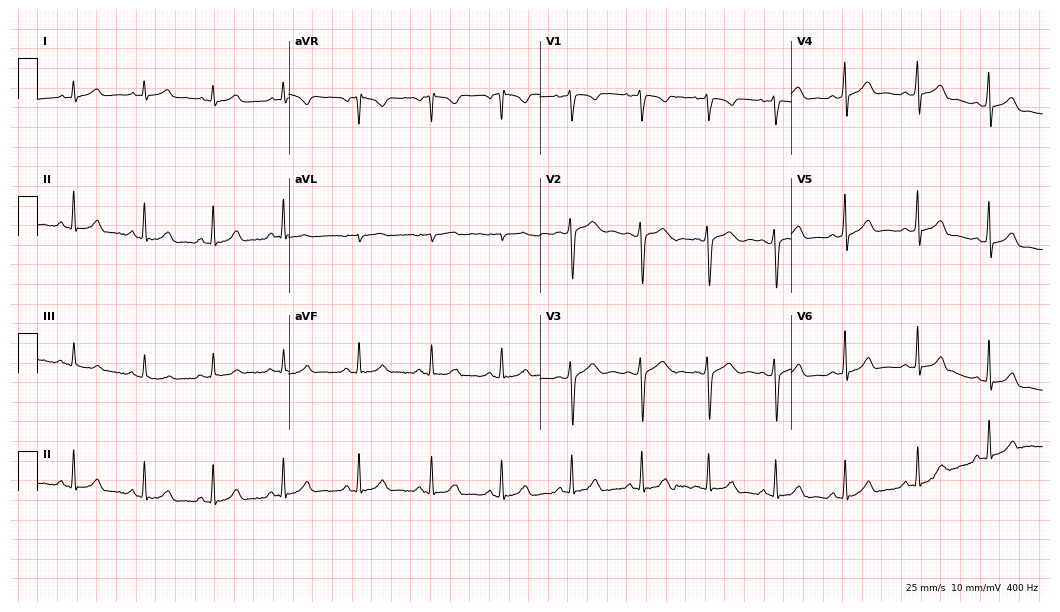
ECG — a female patient, 30 years old. Screened for six findings — first-degree AV block, right bundle branch block, left bundle branch block, sinus bradycardia, atrial fibrillation, sinus tachycardia — none is recorded. Only these six findings were labelled.